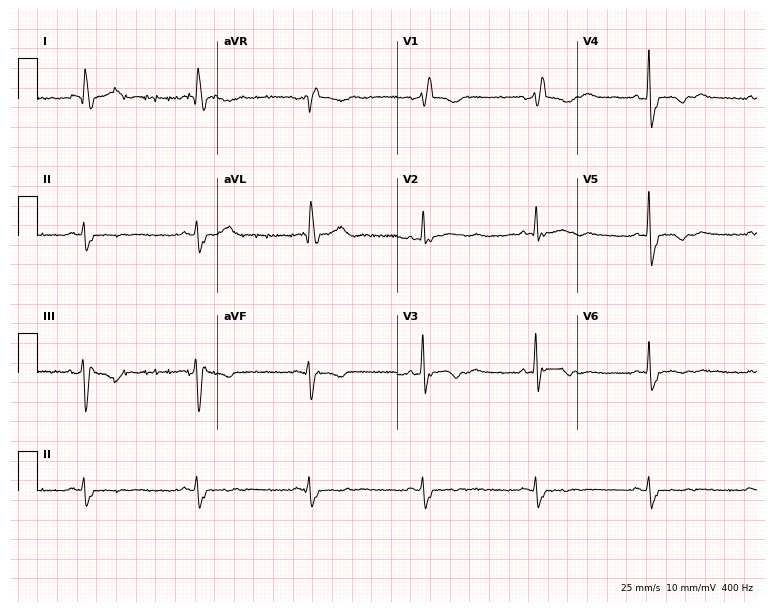
12-lead ECG (7.3-second recording at 400 Hz) from a woman, 64 years old. Findings include sinus bradycardia (a sinus rate of 50 beats per minute or less).